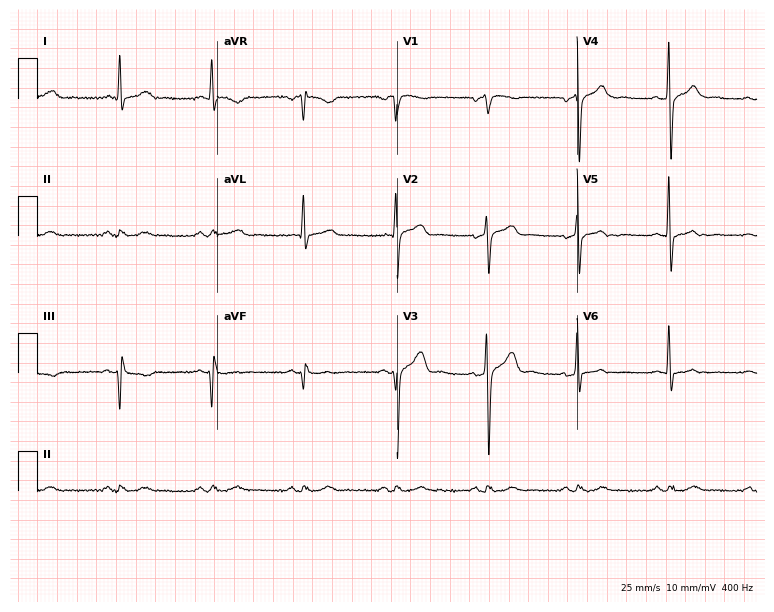
Resting 12-lead electrocardiogram. Patient: a 59-year-old male. None of these six findings is recorded: first-degree AV block, right bundle branch block, left bundle branch block, sinus bradycardia, atrial fibrillation, sinus tachycardia.